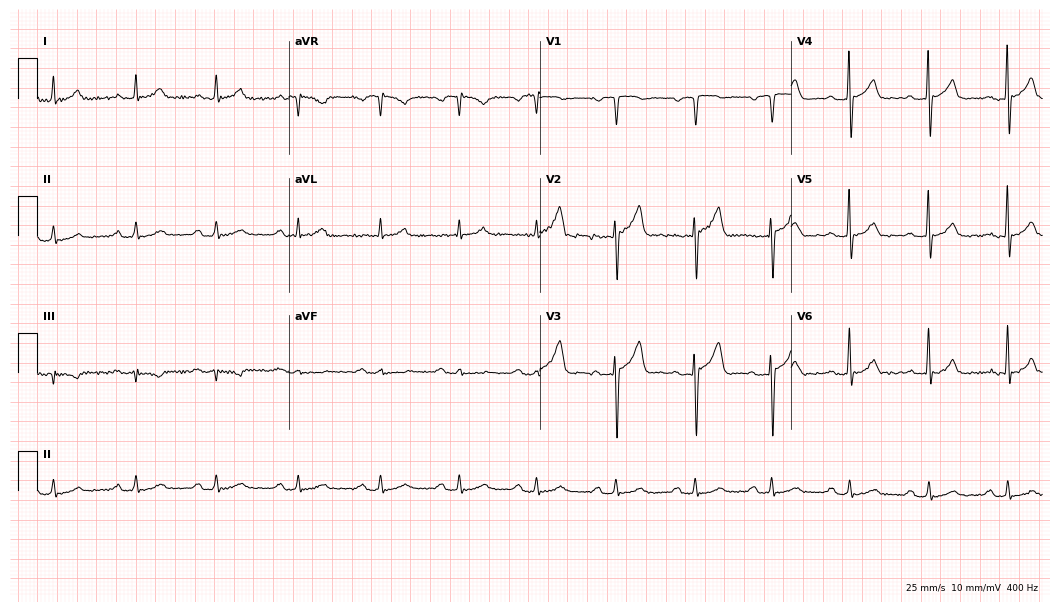
Standard 12-lead ECG recorded from a 75-year-old man (10.2-second recording at 400 Hz). The tracing shows first-degree AV block.